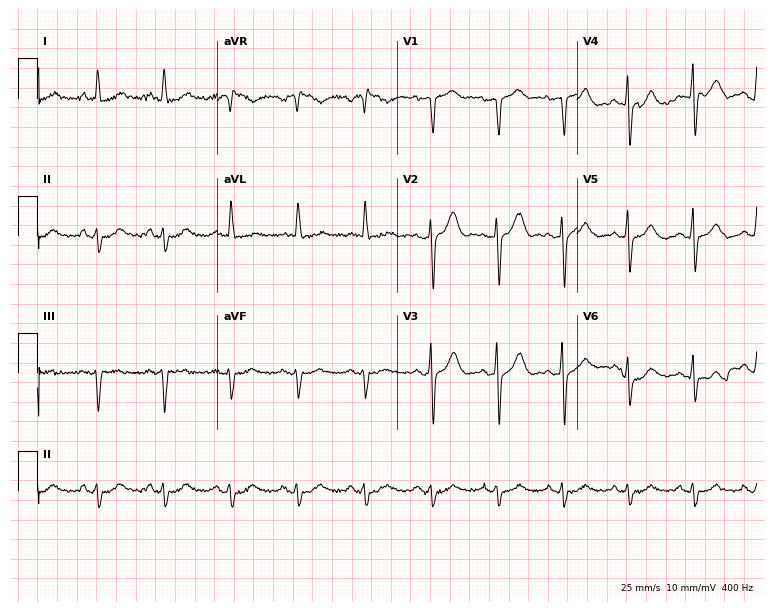
ECG — a 71-year-old man. Screened for six findings — first-degree AV block, right bundle branch block, left bundle branch block, sinus bradycardia, atrial fibrillation, sinus tachycardia — none is recorded.